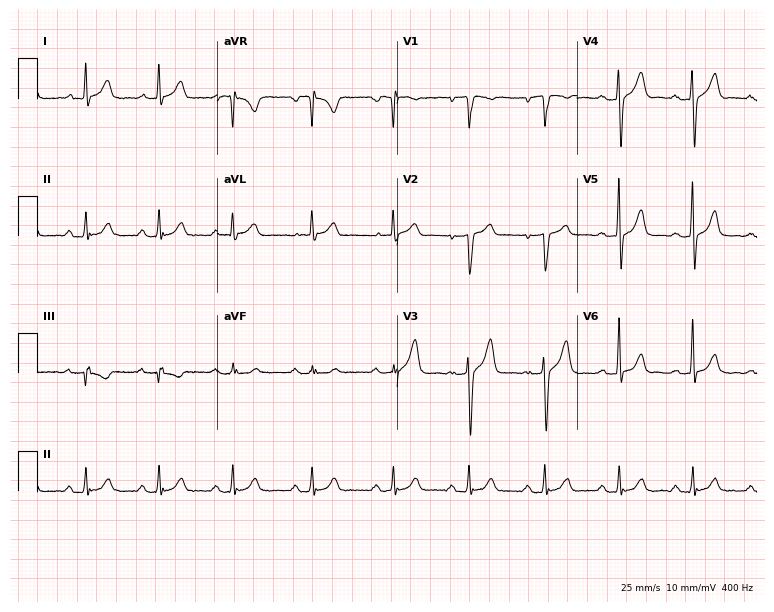
Electrocardiogram (7.3-second recording at 400 Hz), a 61-year-old male. Overall reading on record: normal ECG.